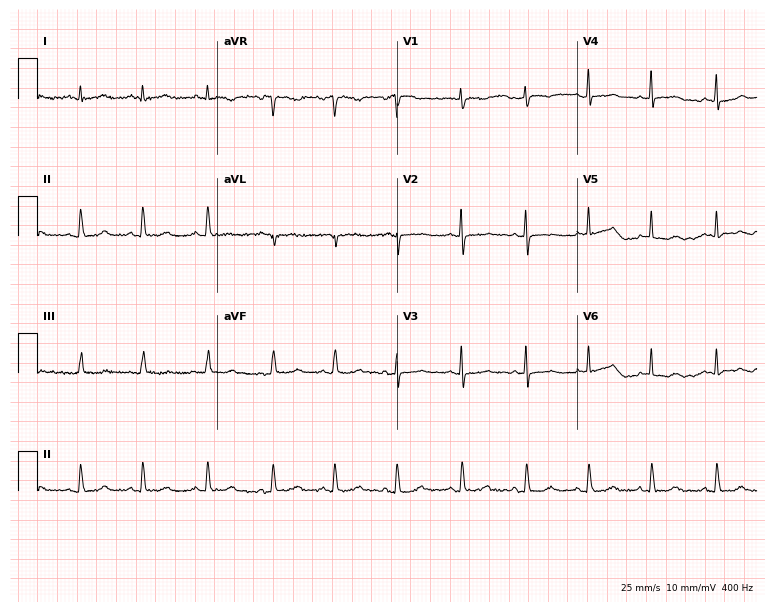
12-lead ECG (7.3-second recording at 400 Hz) from a female patient, 21 years old. Screened for six findings — first-degree AV block, right bundle branch block, left bundle branch block, sinus bradycardia, atrial fibrillation, sinus tachycardia — none is recorded. Findings outside these six are not listed.